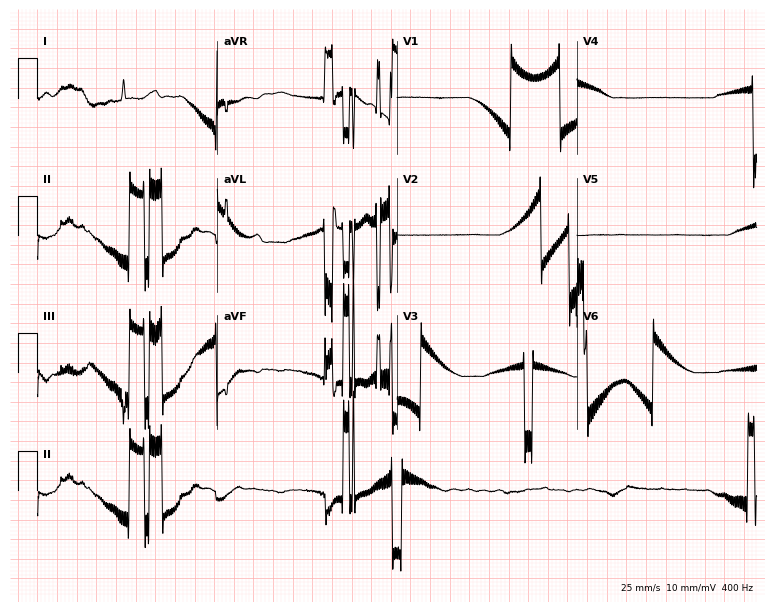
12-lead ECG from a female, 17 years old. Screened for six findings — first-degree AV block, right bundle branch block, left bundle branch block, sinus bradycardia, atrial fibrillation, sinus tachycardia — none is recorded.